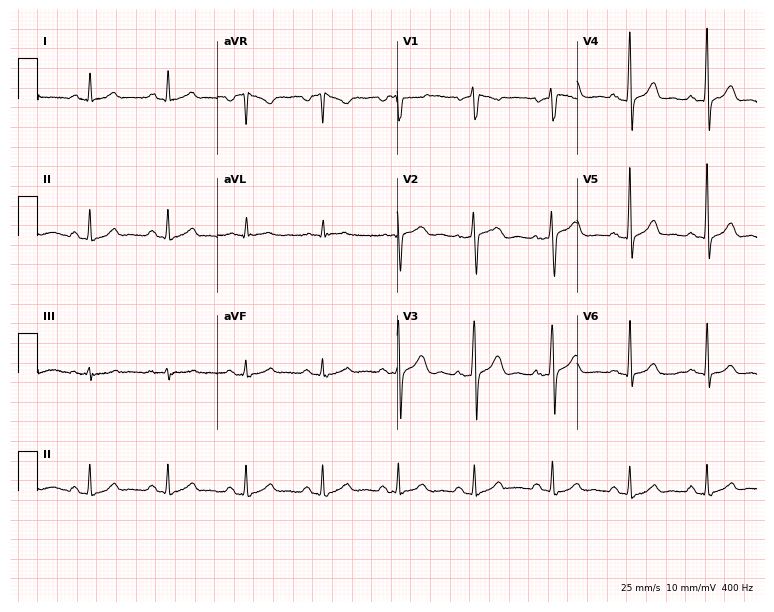
Resting 12-lead electrocardiogram (7.3-second recording at 400 Hz). Patient: a 51-year-old male. Read as a normal ECG.